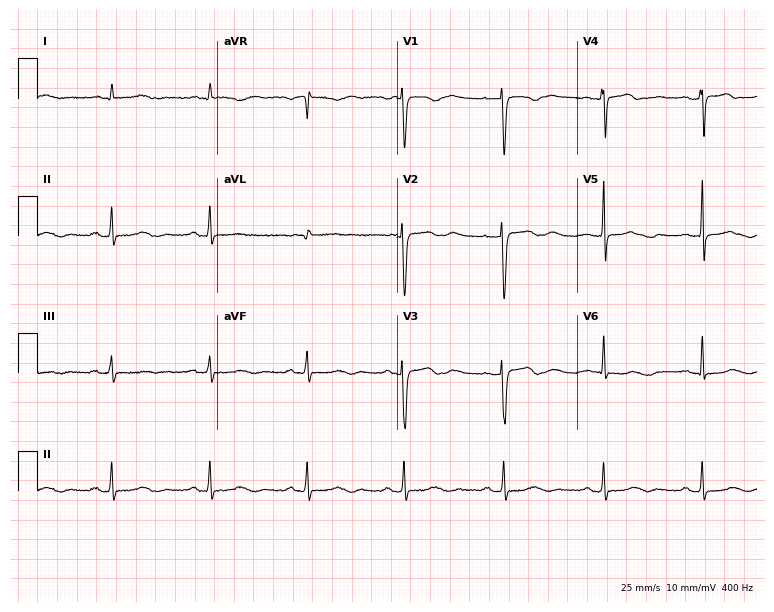
ECG (7.3-second recording at 400 Hz) — a woman, 57 years old. Screened for six findings — first-degree AV block, right bundle branch block, left bundle branch block, sinus bradycardia, atrial fibrillation, sinus tachycardia — none is recorded. Other findings, if any, are not listed.